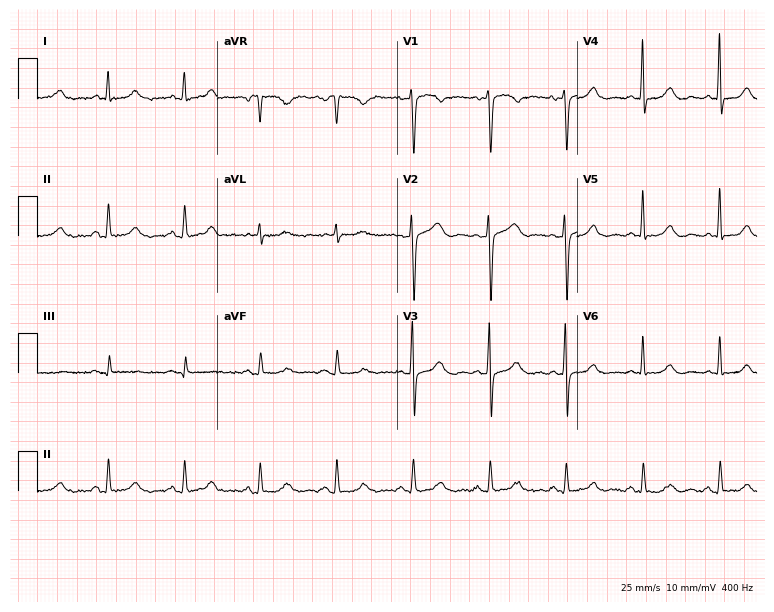
Standard 12-lead ECG recorded from a 59-year-old female. Read as a normal ECG.